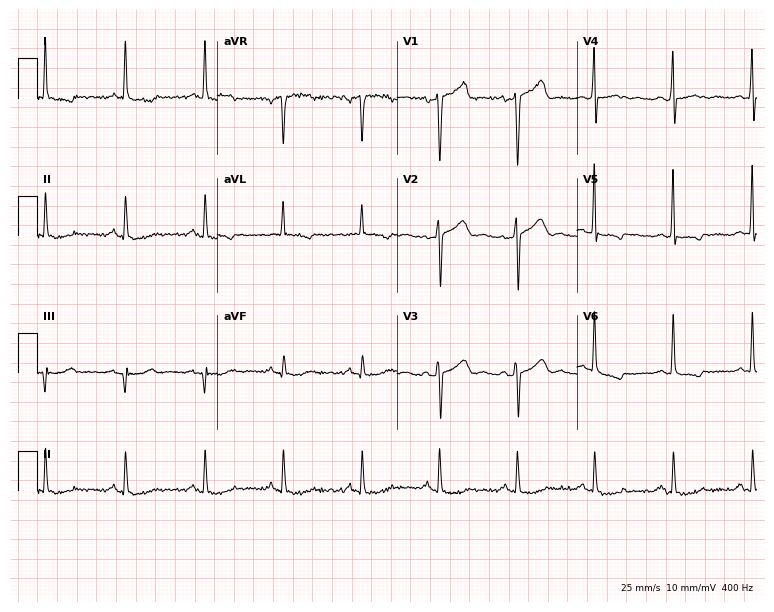
Standard 12-lead ECG recorded from a 45-year-old male. None of these six findings is recorded: first-degree AV block, right bundle branch block, left bundle branch block, sinus bradycardia, atrial fibrillation, sinus tachycardia. Findings outside these six are not listed.